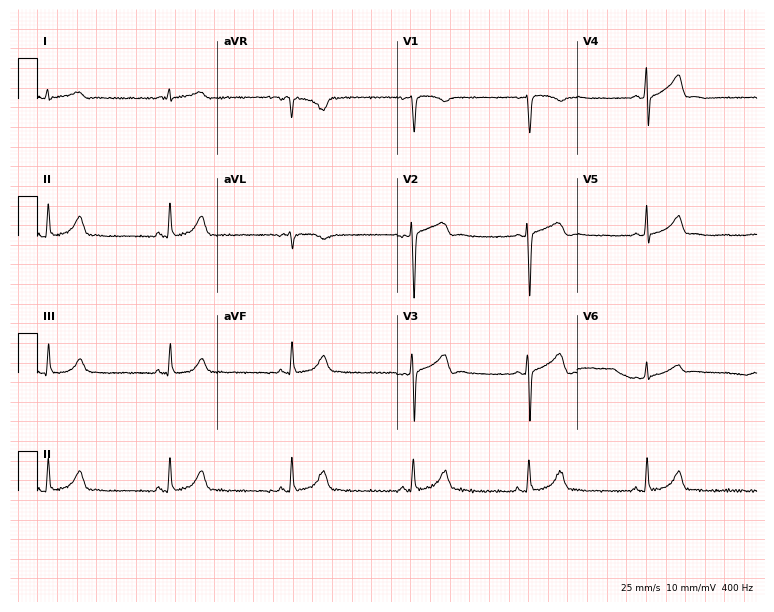
12-lead ECG from a 40-year-old female patient. Findings include sinus bradycardia (a sinus rate of 50 beats per minute or less).